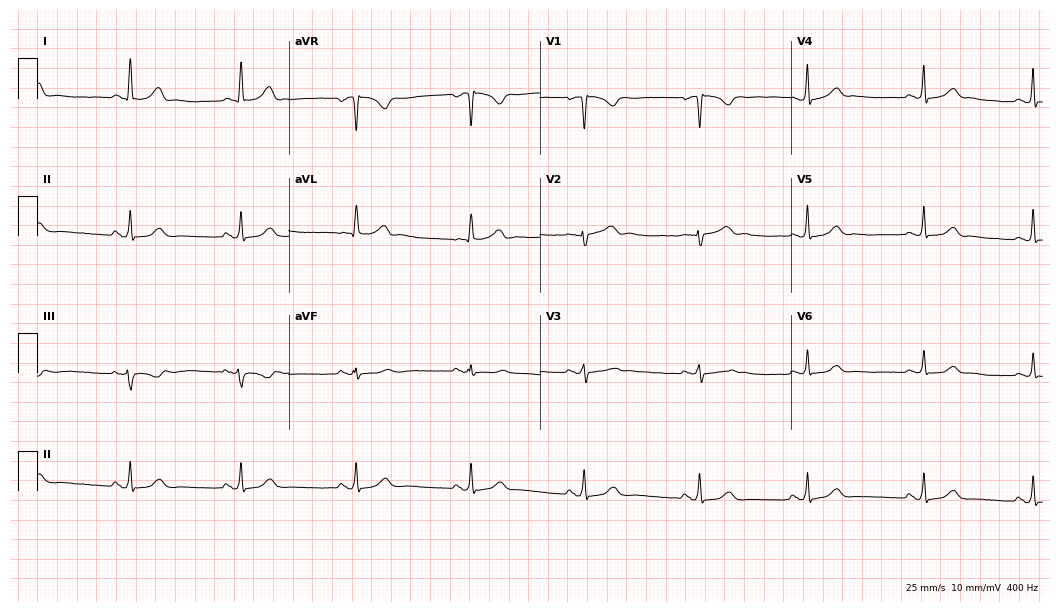
Resting 12-lead electrocardiogram. Patient: a 33-year-old female. Read as a normal ECG.